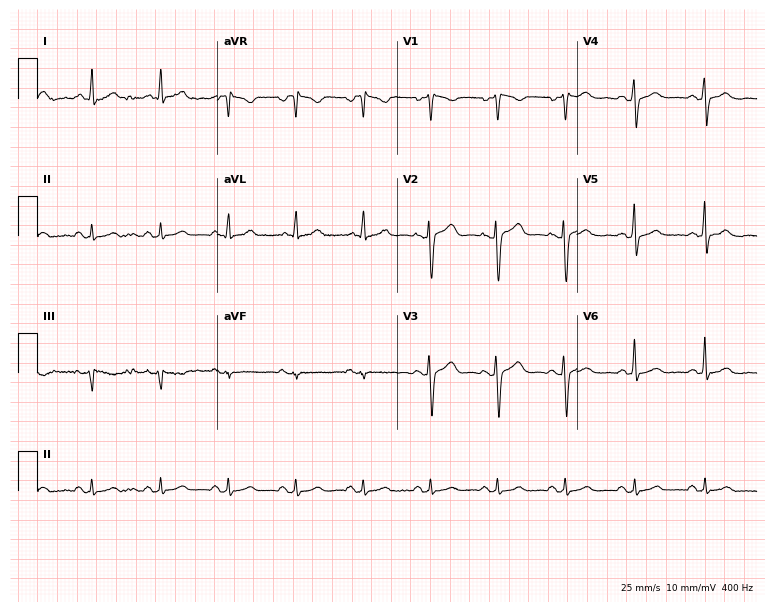
Resting 12-lead electrocardiogram. Patient: a 36-year-old man. None of these six findings is recorded: first-degree AV block, right bundle branch block, left bundle branch block, sinus bradycardia, atrial fibrillation, sinus tachycardia.